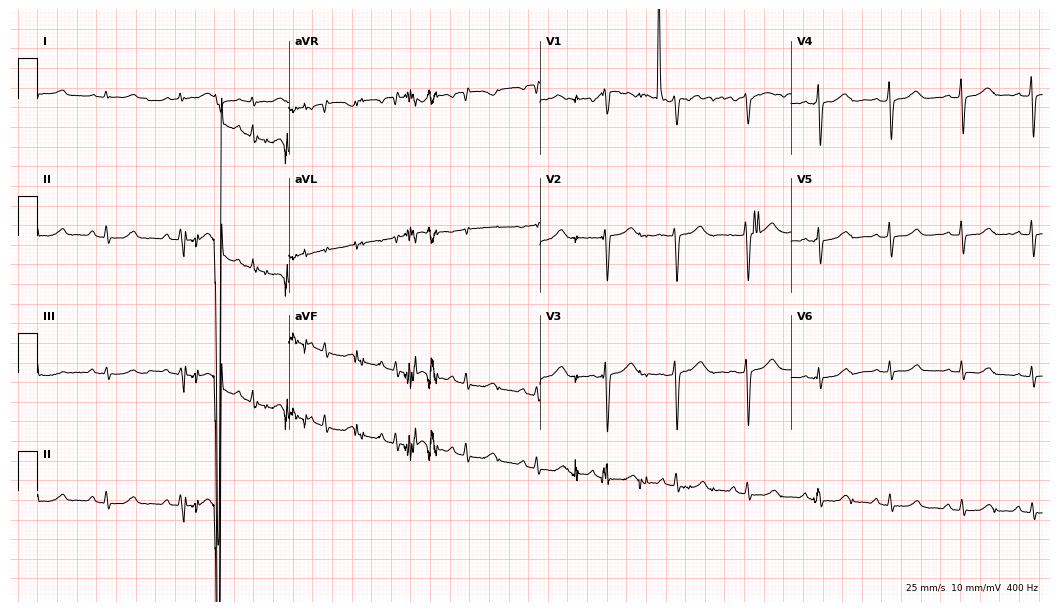
12-lead ECG from a 43-year-old woman. Labelled as a normal ECG.